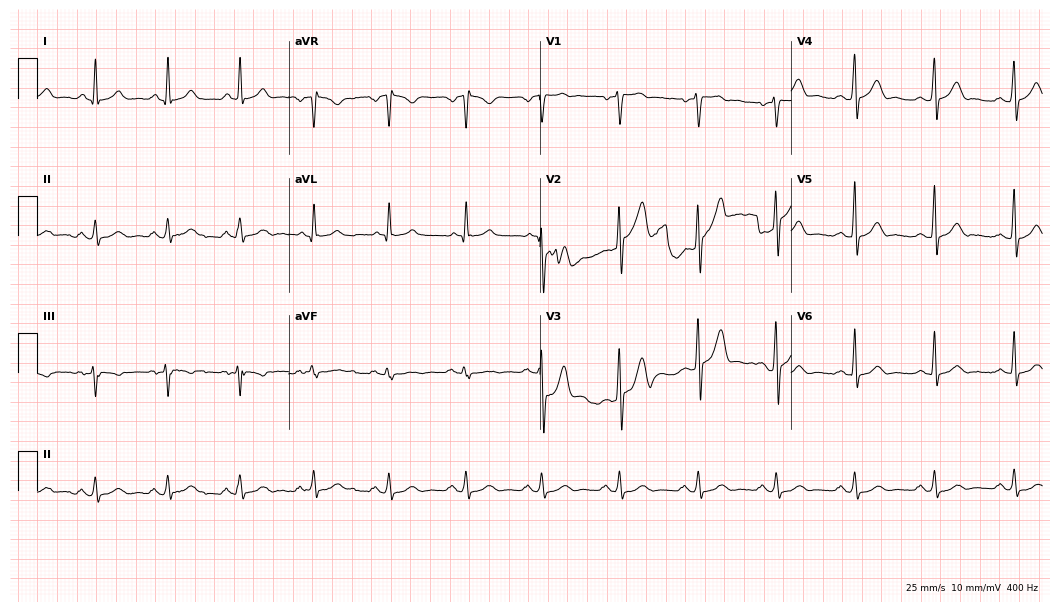
12-lead ECG from a 42-year-old man. Recorded interpretation: within normal limits.